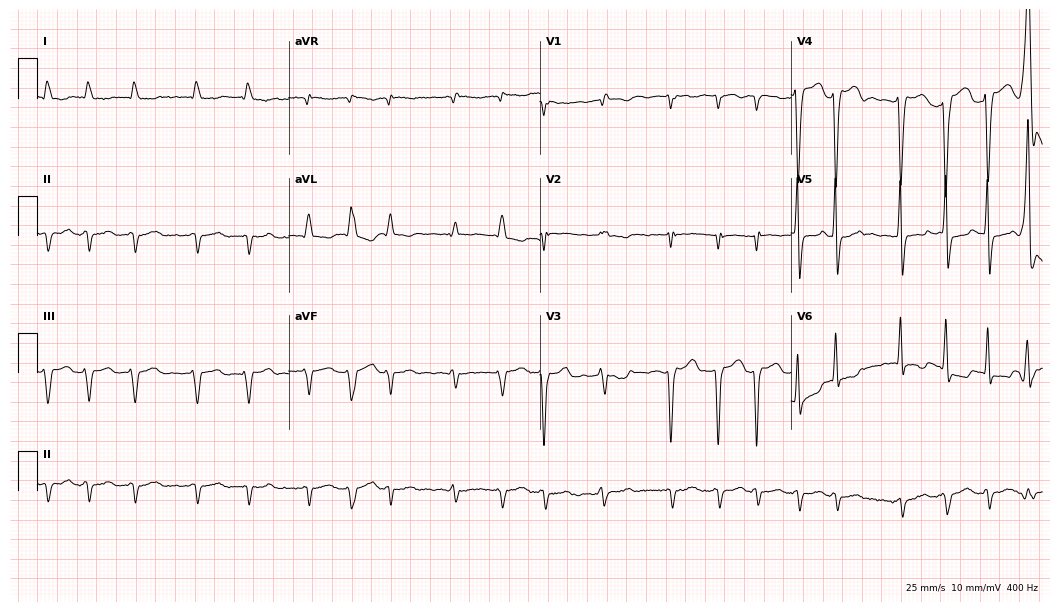
12-lead ECG (10.2-second recording at 400 Hz) from a man, 85 years old. Findings include atrial fibrillation.